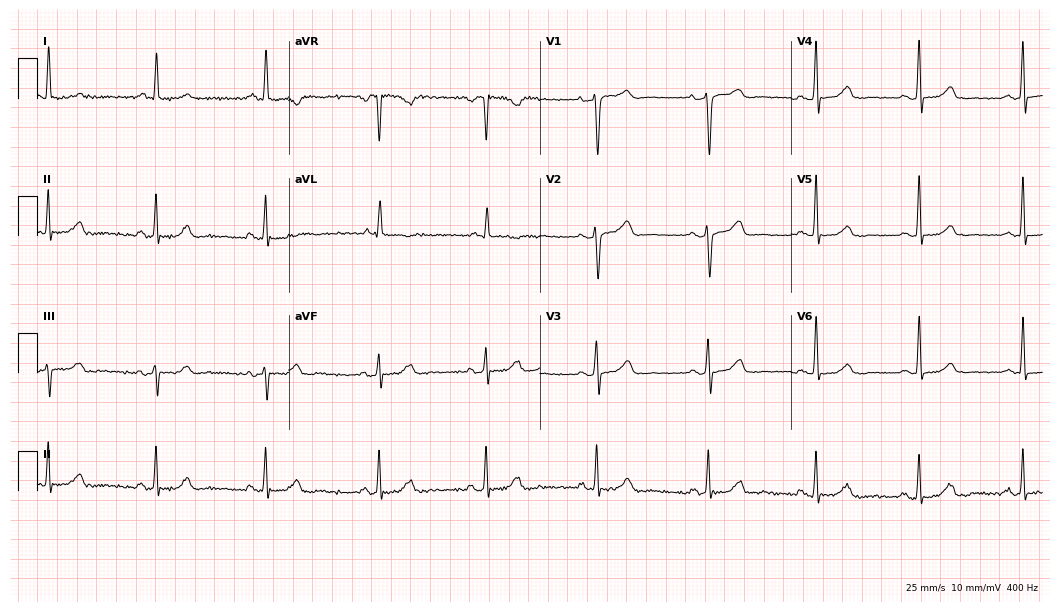
ECG (10.2-second recording at 400 Hz) — a female patient, 69 years old. Labelled as a normal ECG.